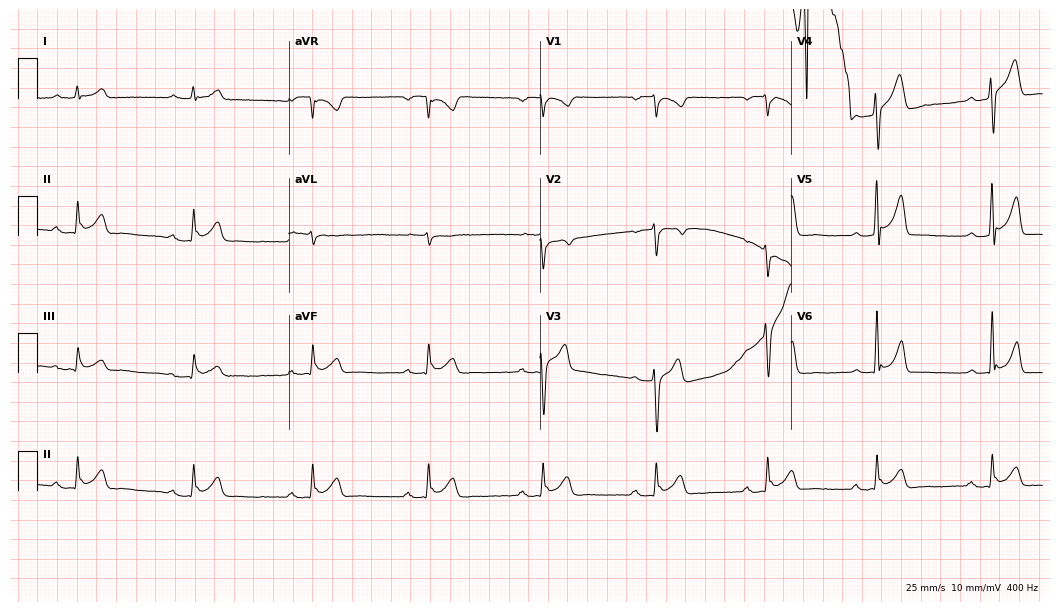
ECG — a 36-year-old male patient. Screened for six findings — first-degree AV block, right bundle branch block, left bundle branch block, sinus bradycardia, atrial fibrillation, sinus tachycardia — none is recorded. Only these six findings were labelled.